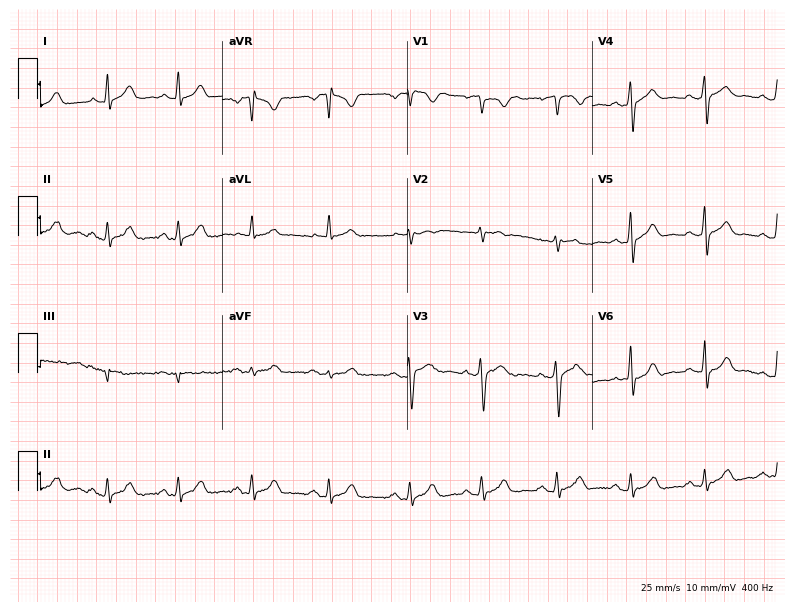
Resting 12-lead electrocardiogram. Patient: a female, 33 years old. None of these six findings is recorded: first-degree AV block, right bundle branch block (RBBB), left bundle branch block (LBBB), sinus bradycardia, atrial fibrillation (AF), sinus tachycardia. Other findings, if any, are not listed.